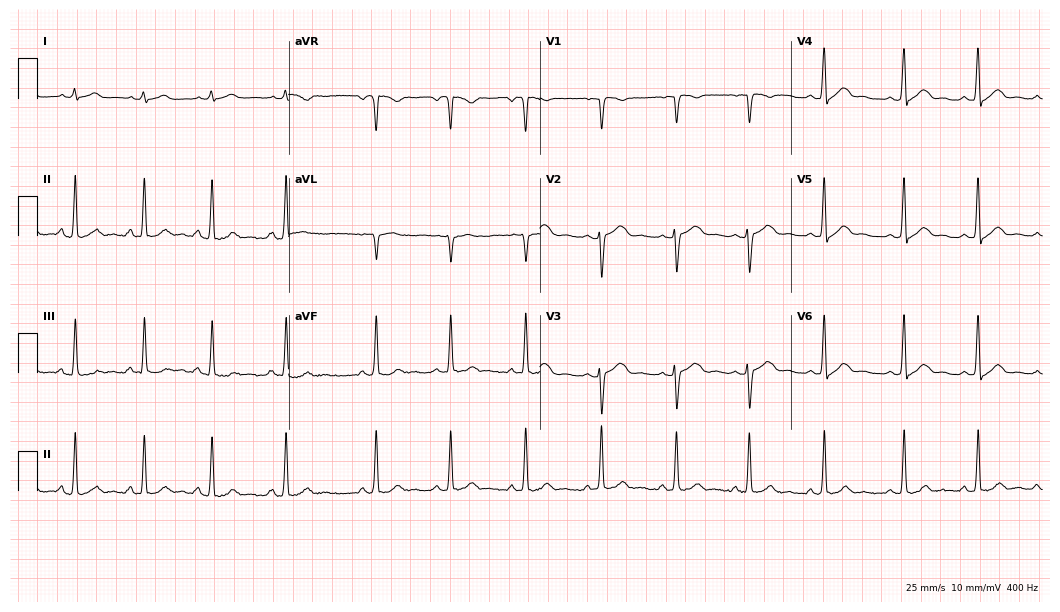
Standard 12-lead ECG recorded from a female patient, 20 years old (10.2-second recording at 400 Hz). Read as a normal ECG.